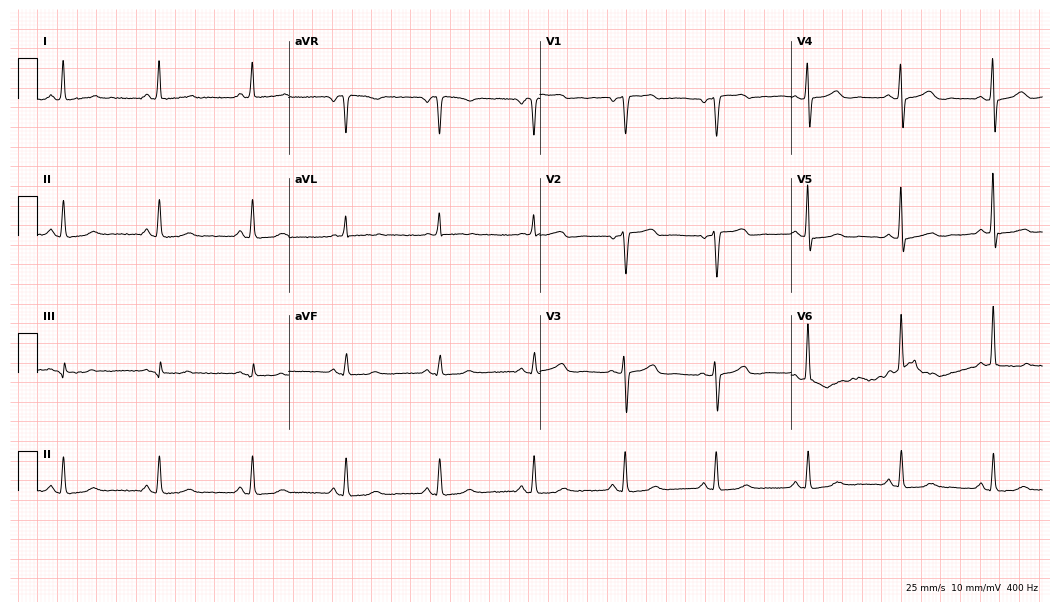
12-lead ECG from a 49-year-old woman (10.2-second recording at 400 Hz). Recorded interpretation: within normal limits.